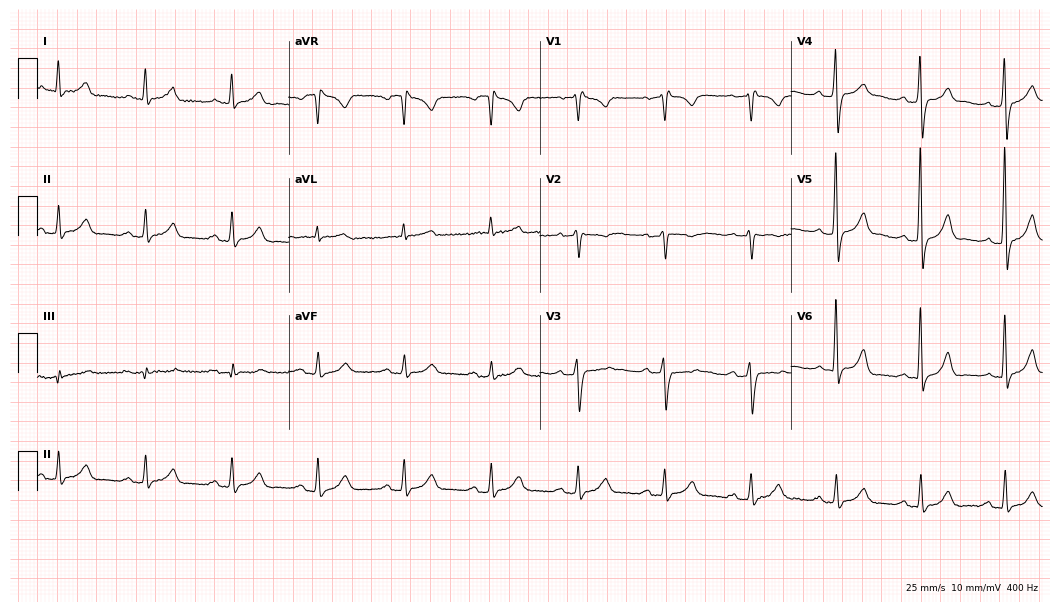
ECG — a male, 54 years old. Labelled as a normal ECG.